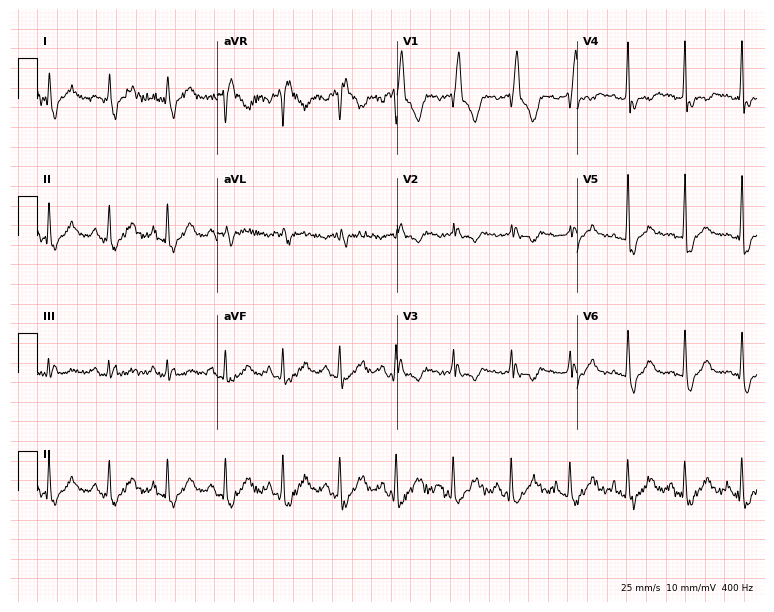
12-lead ECG from a 49-year-old male patient. Shows right bundle branch block, sinus tachycardia (a sinus rate of 100 beats per minute or more).